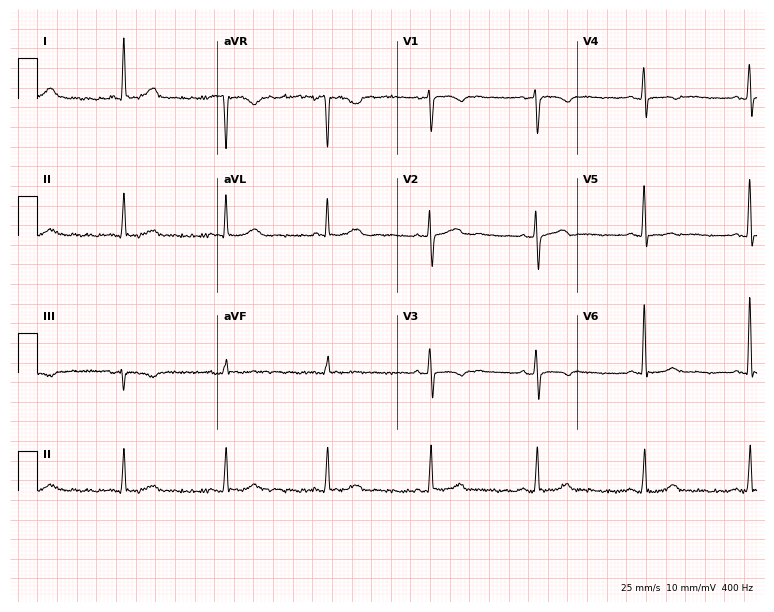
12-lead ECG from a female, 57 years old (7.3-second recording at 400 Hz). Recorded interpretation: within normal limits.